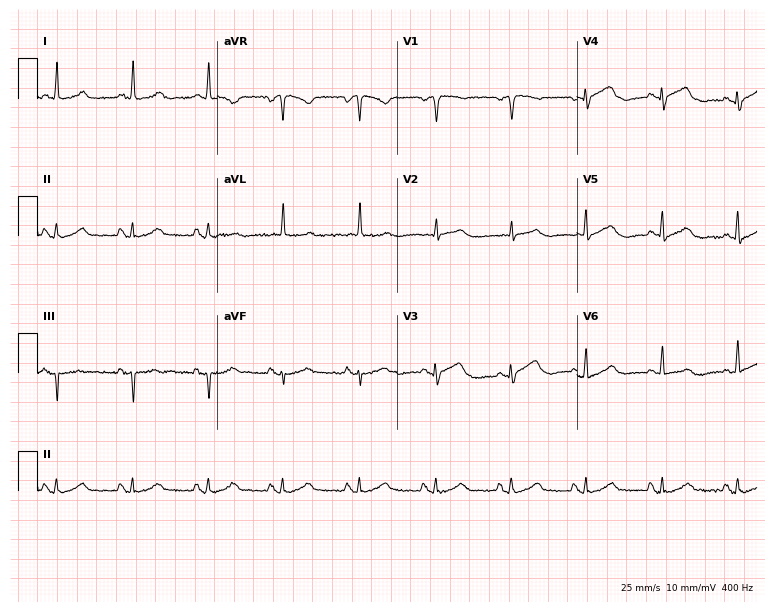
Resting 12-lead electrocardiogram. Patient: a 77-year-old female. Read as a normal ECG.